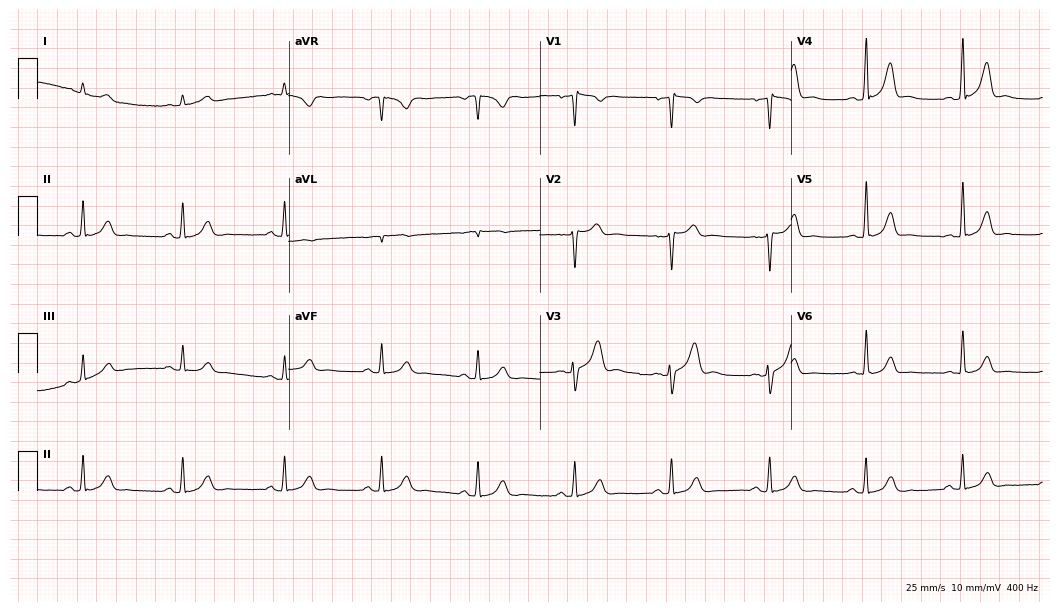
Standard 12-lead ECG recorded from a 39-year-old male patient. Read as a normal ECG.